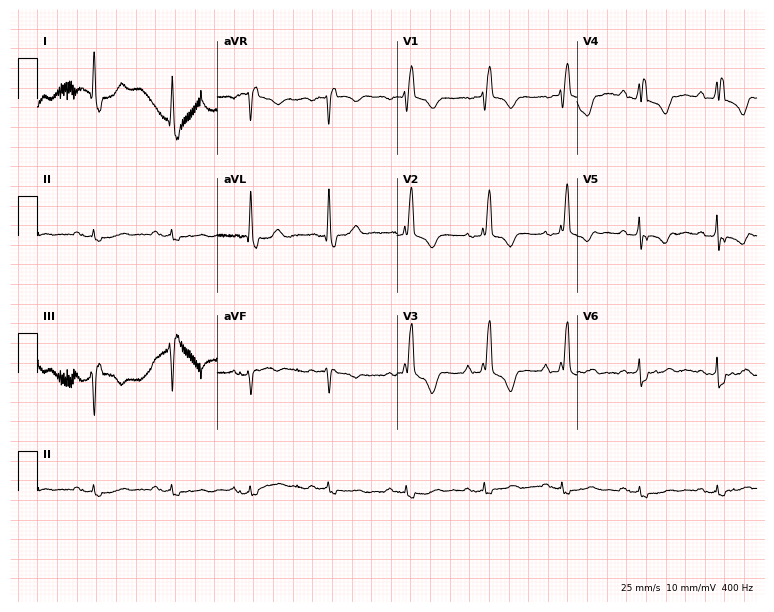
12-lead ECG (7.3-second recording at 400 Hz) from an 83-year-old man. Findings include right bundle branch block (RBBB).